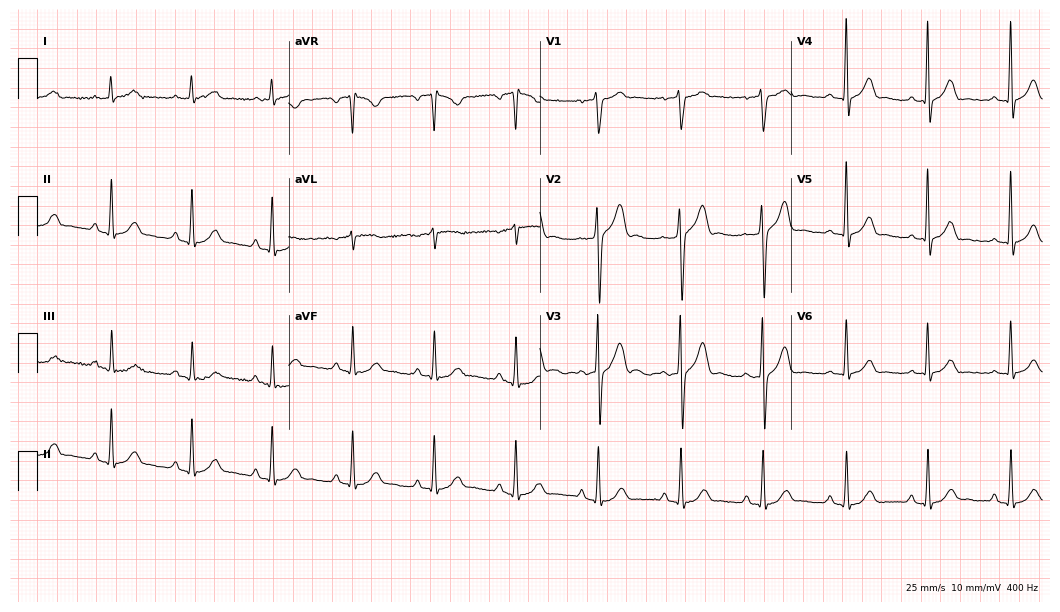
Electrocardiogram (10.2-second recording at 400 Hz), a 53-year-old man. Overall reading on record: normal ECG.